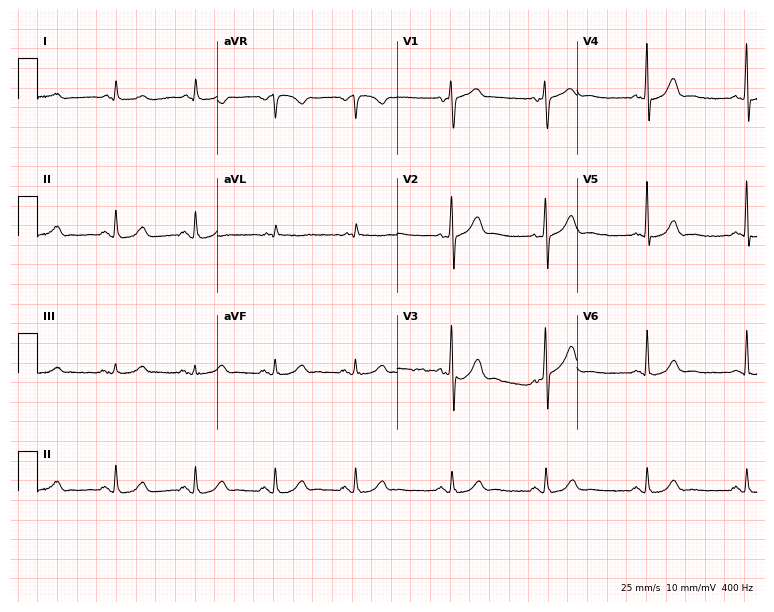
12-lead ECG from an 82-year-old male patient. Recorded interpretation: within normal limits.